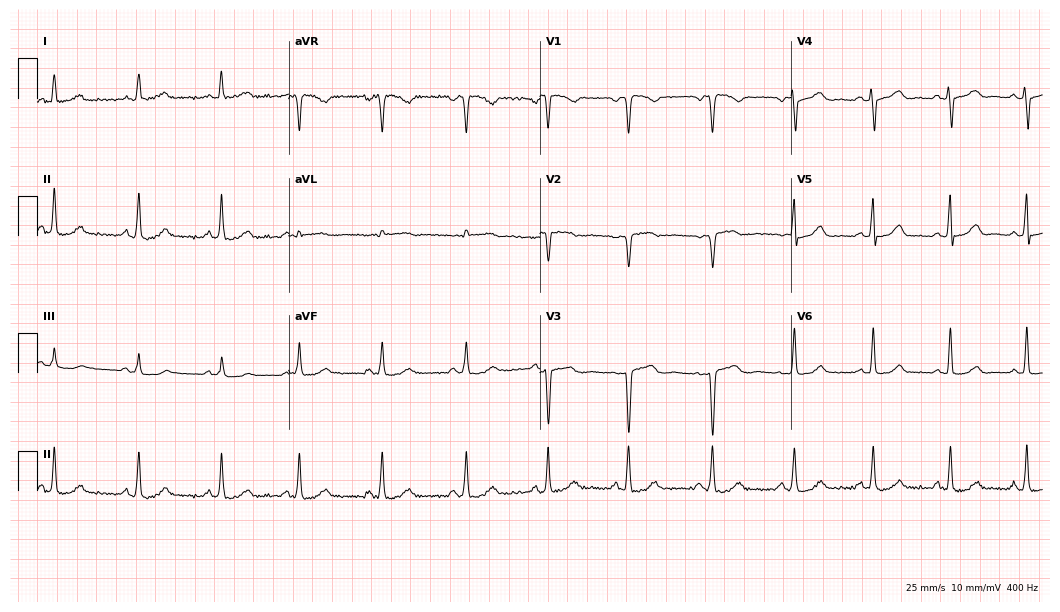
Electrocardiogram (10.2-second recording at 400 Hz), a 43-year-old female patient. Overall reading on record: normal ECG.